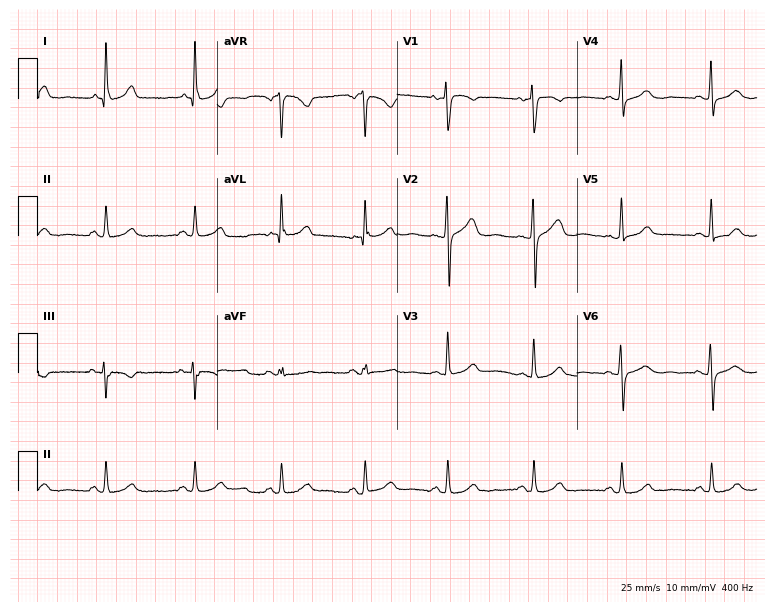
Standard 12-lead ECG recorded from a female, 56 years old (7.3-second recording at 400 Hz). Read as a normal ECG.